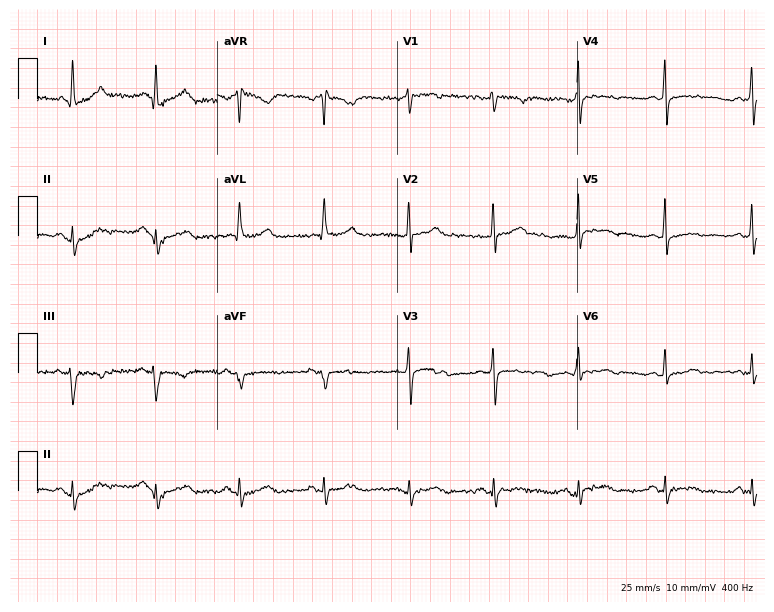
12-lead ECG (7.3-second recording at 400 Hz) from a female patient, 58 years old. Screened for six findings — first-degree AV block, right bundle branch block (RBBB), left bundle branch block (LBBB), sinus bradycardia, atrial fibrillation (AF), sinus tachycardia — none is recorded. Other findings, if any, are not listed.